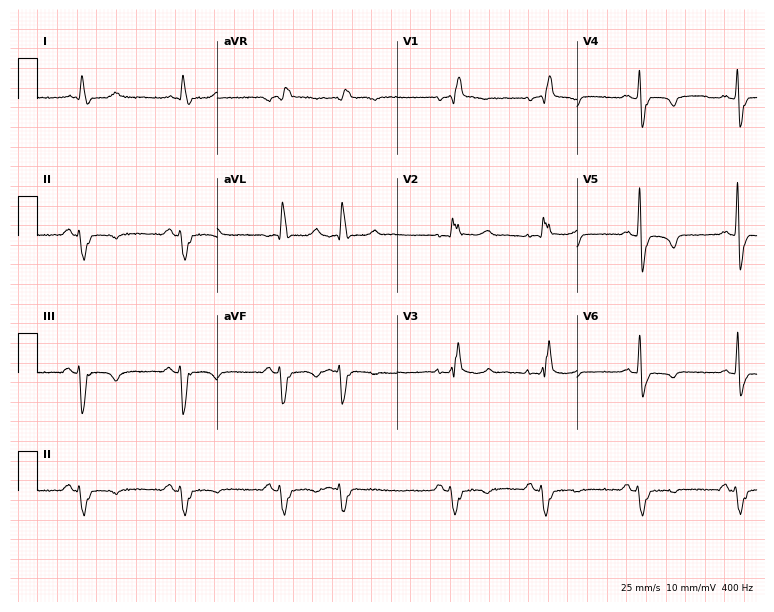
12-lead ECG (7.3-second recording at 400 Hz) from a female patient, 81 years old. Findings include right bundle branch block.